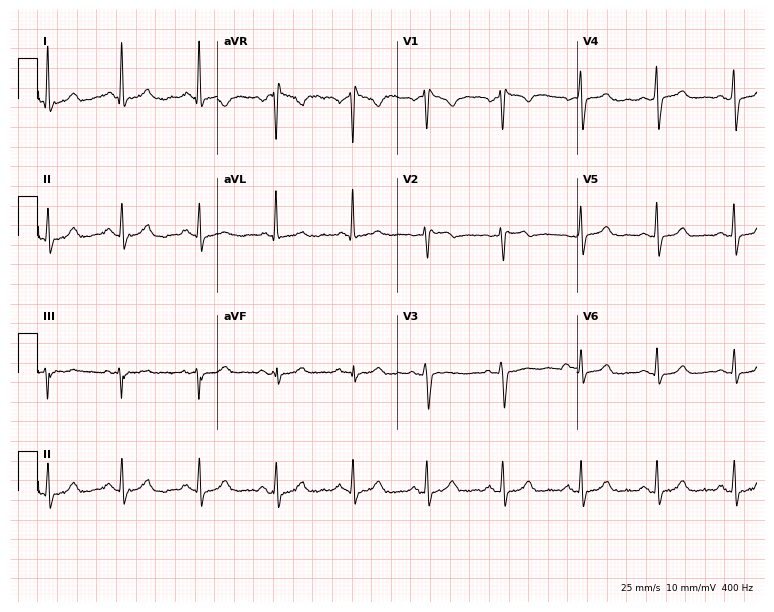
ECG (7.3-second recording at 400 Hz) — a female patient, 56 years old. Screened for six findings — first-degree AV block, right bundle branch block, left bundle branch block, sinus bradycardia, atrial fibrillation, sinus tachycardia — none is recorded. Only these six findings were labelled.